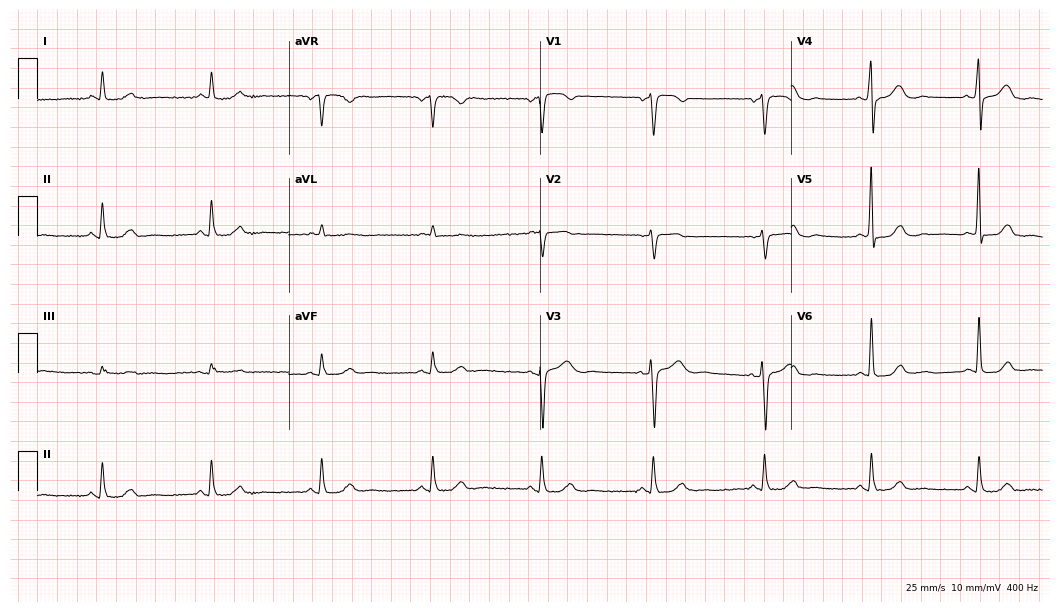
12-lead ECG from a 57-year-old woman. No first-degree AV block, right bundle branch block (RBBB), left bundle branch block (LBBB), sinus bradycardia, atrial fibrillation (AF) or sinus tachycardia recorded for this tracing.